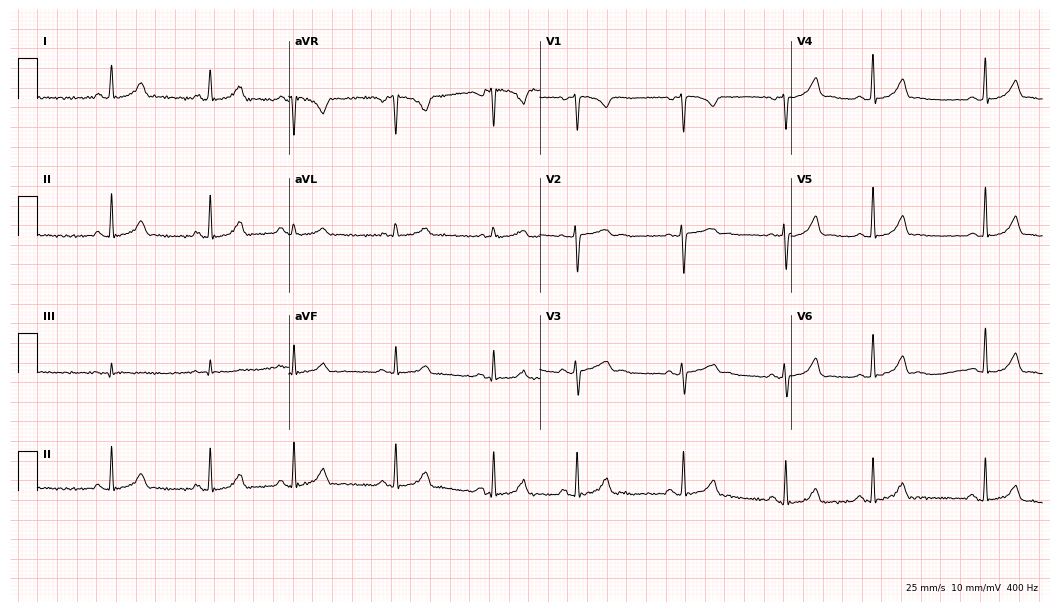
12-lead ECG from a female patient, 25 years old. Recorded interpretation: within normal limits.